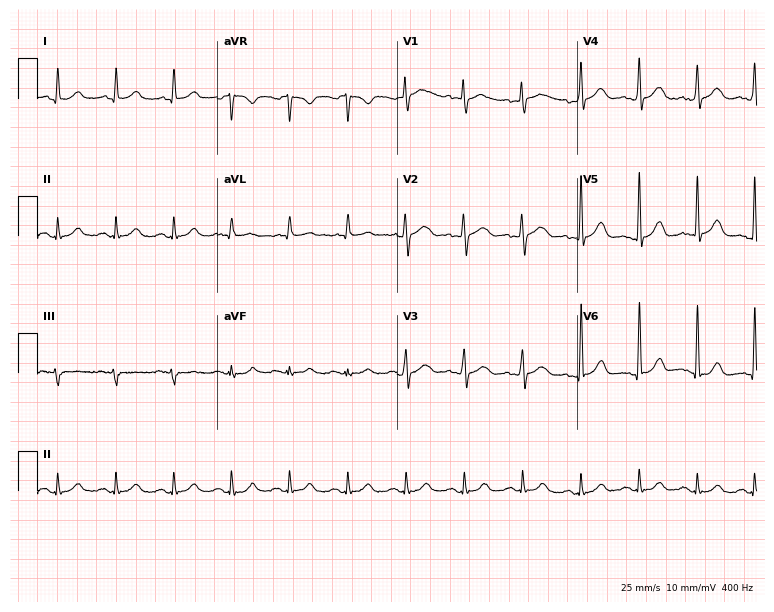
Electrocardiogram (7.3-second recording at 400 Hz), a 42-year-old male. Overall reading on record: normal ECG.